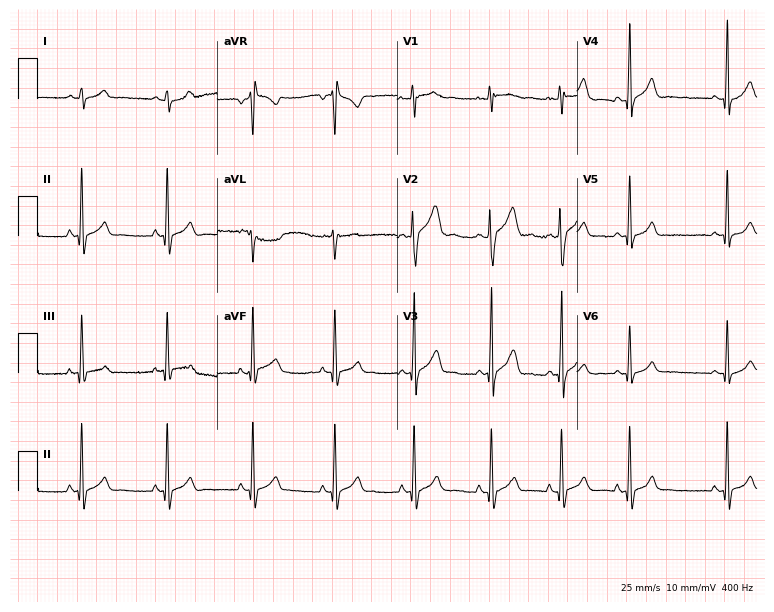
Resting 12-lead electrocardiogram. Patient: a male, 22 years old. Read as a normal ECG.